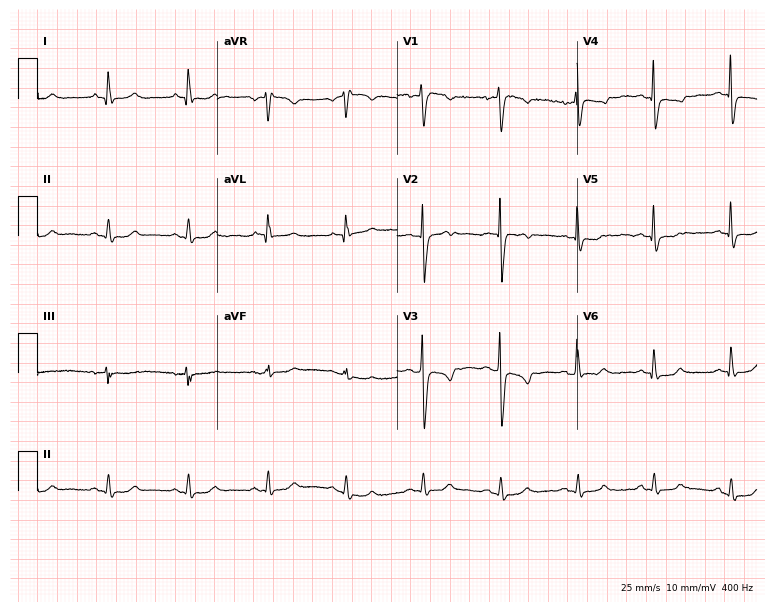
Standard 12-lead ECG recorded from a 47-year-old man. None of these six findings is recorded: first-degree AV block, right bundle branch block, left bundle branch block, sinus bradycardia, atrial fibrillation, sinus tachycardia.